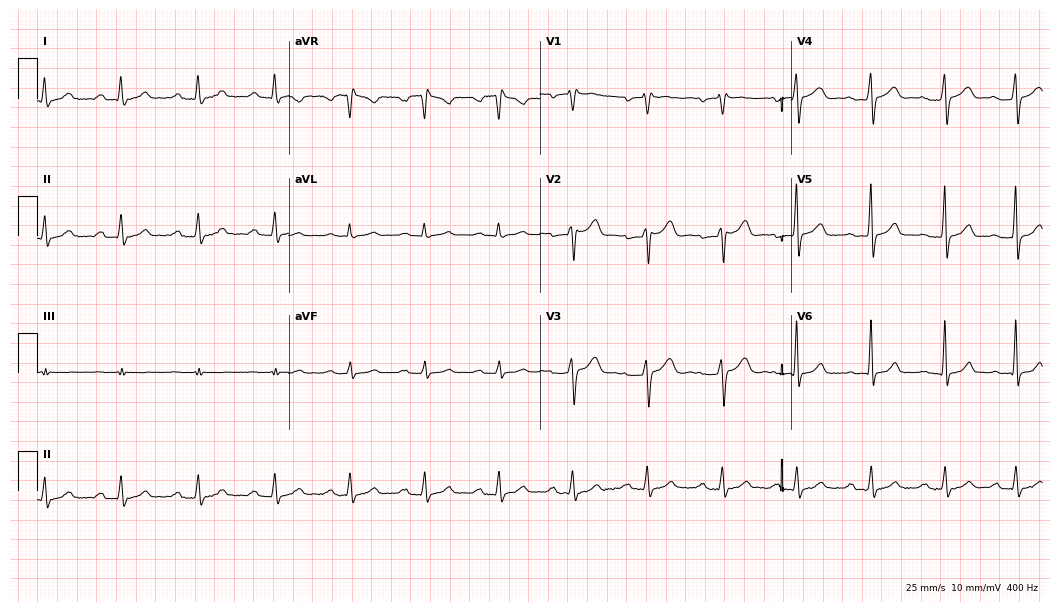
Resting 12-lead electrocardiogram (10.2-second recording at 400 Hz). Patient: a 45-year-old male. None of these six findings is recorded: first-degree AV block, right bundle branch block (RBBB), left bundle branch block (LBBB), sinus bradycardia, atrial fibrillation (AF), sinus tachycardia.